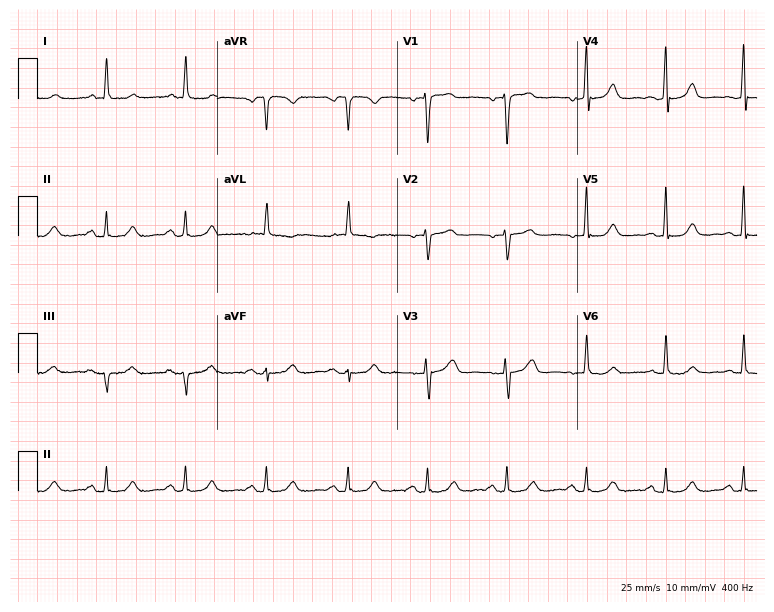
Resting 12-lead electrocardiogram. Patient: a woman, 65 years old. Read as a normal ECG.